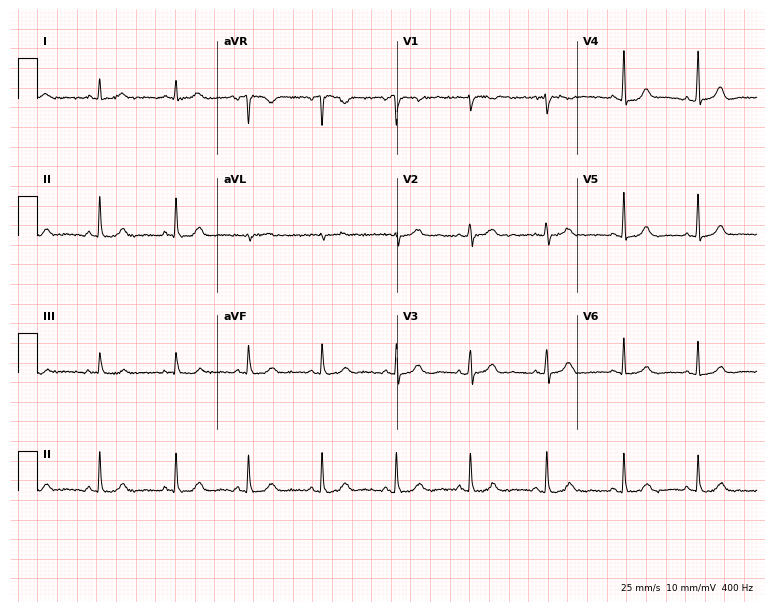
ECG — a 38-year-old female. Labelled as a normal ECG.